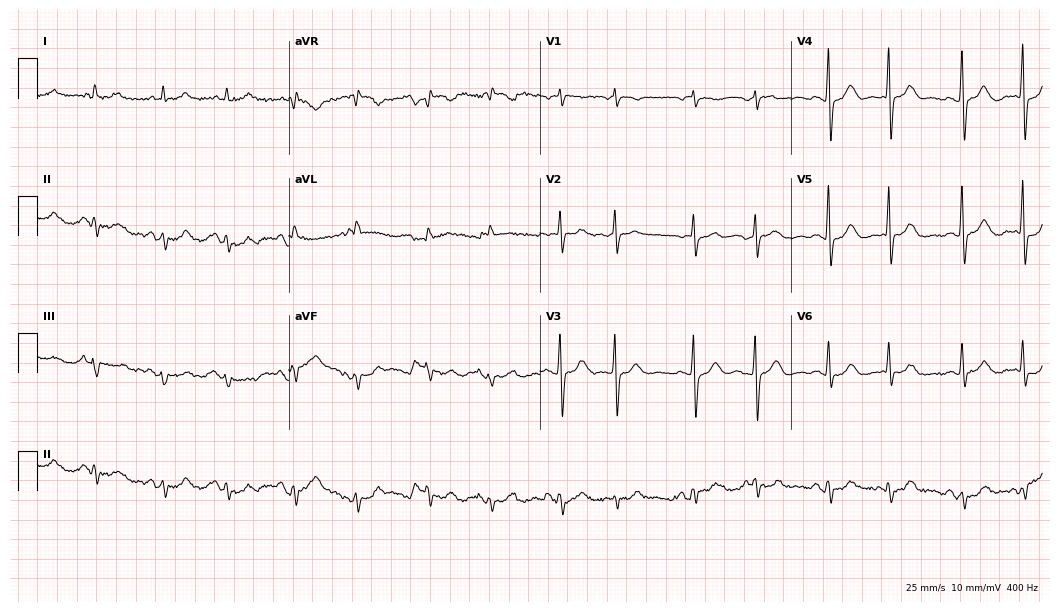
ECG (10.2-second recording at 400 Hz) — a 77-year-old female. Screened for six findings — first-degree AV block, right bundle branch block, left bundle branch block, sinus bradycardia, atrial fibrillation, sinus tachycardia — none is recorded. Findings outside these six are not listed.